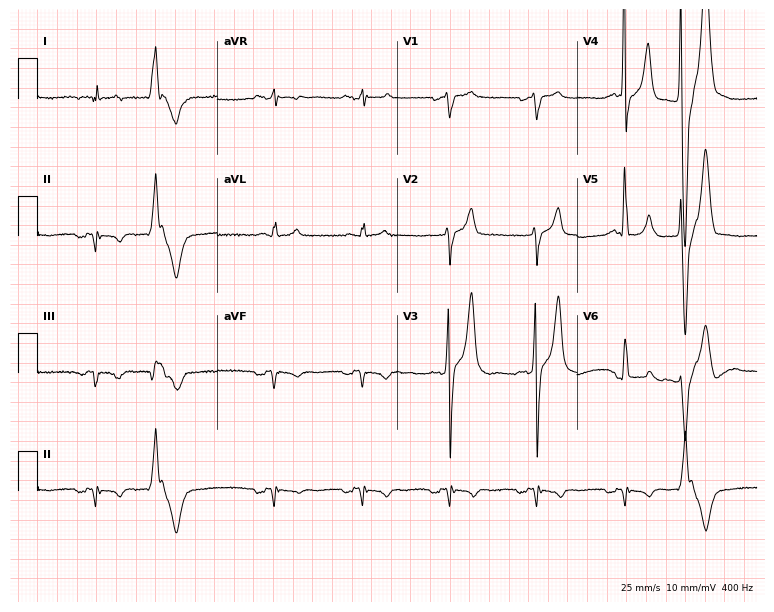
ECG (7.3-second recording at 400 Hz) — a male patient, 65 years old. Screened for six findings — first-degree AV block, right bundle branch block, left bundle branch block, sinus bradycardia, atrial fibrillation, sinus tachycardia — none is recorded.